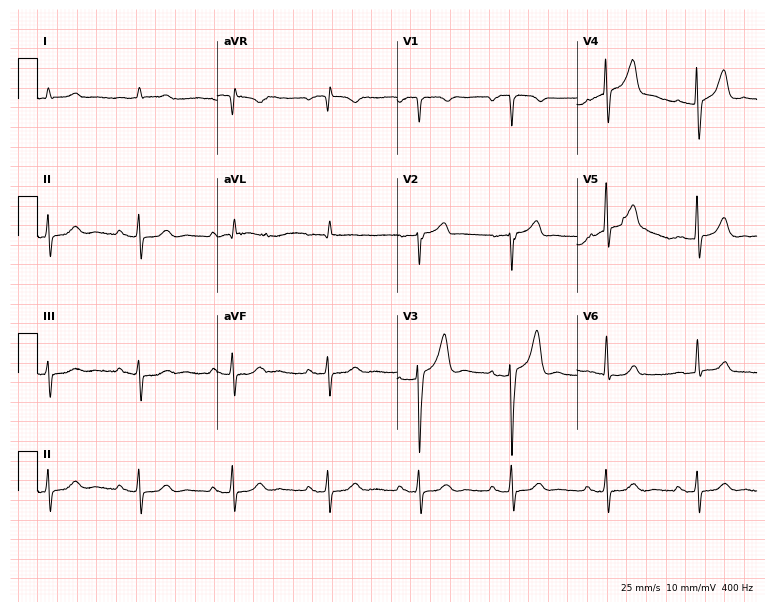
ECG — a male patient, 81 years old. Labelled as a normal ECG.